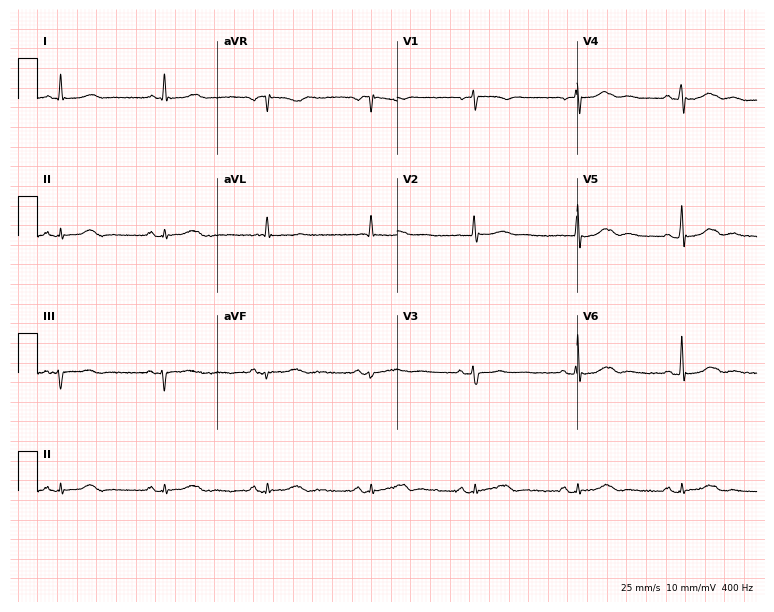
Standard 12-lead ECG recorded from a woman, 79 years old (7.3-second recording at 400 Hz). None of these six findings is recorded: first-degree AV block, right bundle branch block, left bundle branch block, sinus bradycardia, atrial fibrillation, sinus tachycardia. Only these six findings were labelled.